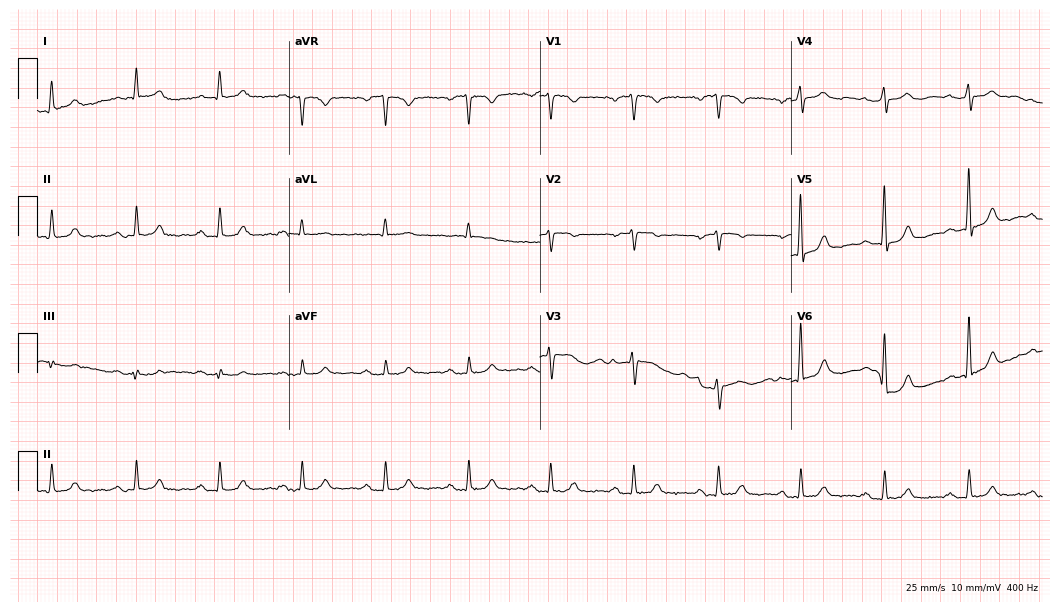
12-lead ECG from a man, 74 years old (10.2-second recording at 400 Hz). Recorded interpretation: within normal limits.